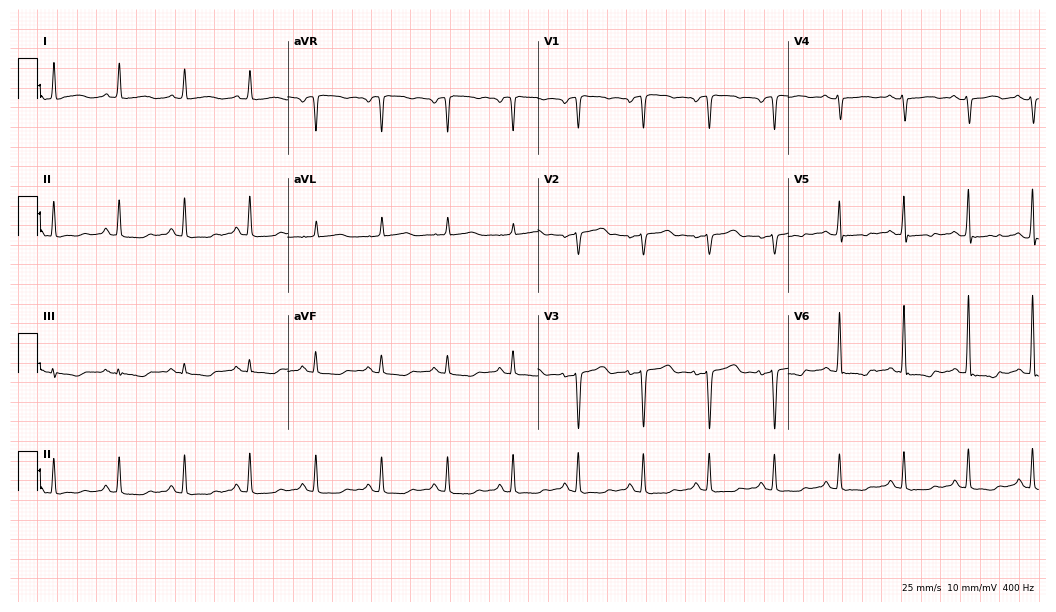
Electrocardiogram, a female patient, 55 years old. Of the six screened findings (first-degree AV block, right bundle branch block, left bundle branch block, sinus bradycardia, atrial fibrillation, sinus tachycardia), none is recorded.